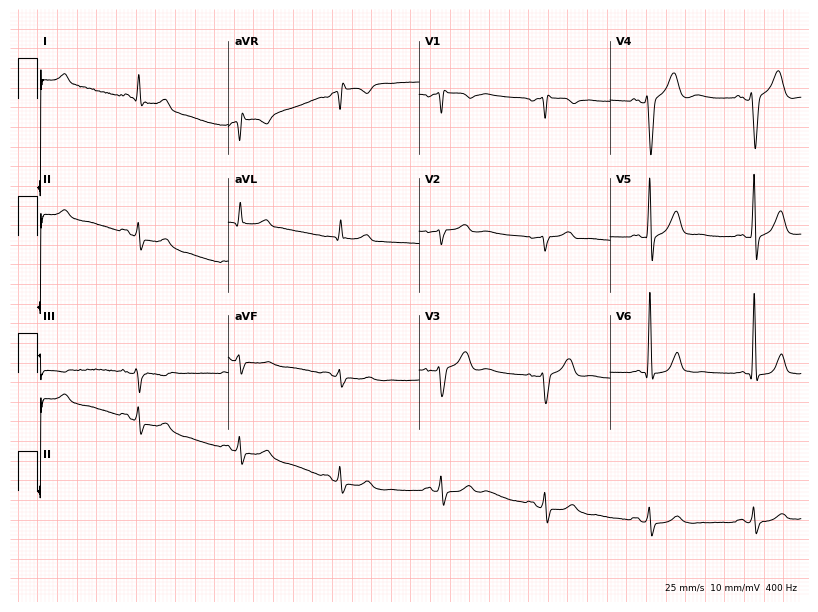
Standard 12-lead ECG recorded from a man, 71 years old. None of these six findings is recorded: first-degree AV block, right bundle branch block, left bundle branch block, sinus bradycardia, atrial fibrillation, sinus tachycardia.